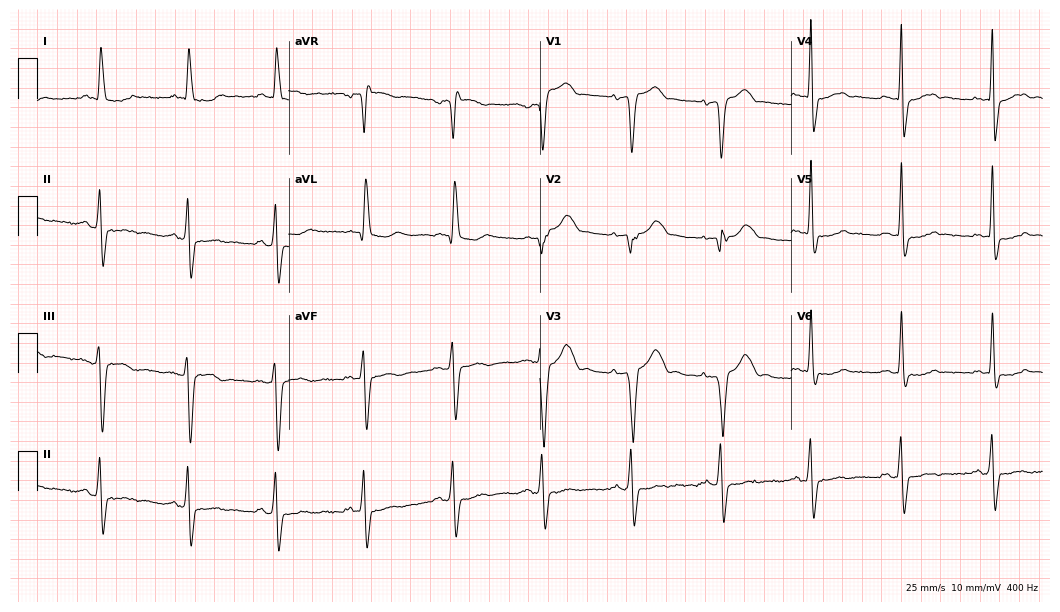
12-lead ECG from a male, 78 years old. Findings include left bundle branch block (LBBB).